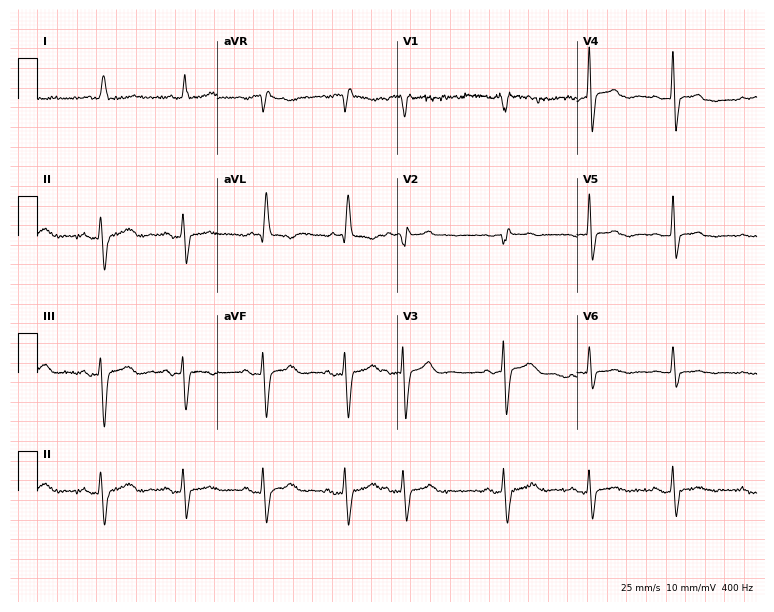
Standard 12-lead ECG recorded from an 85-year-old female (7.3-second recording at 400 Hz). None of these six findings is recorded: first-degree AV block, right bundle branch block (RBBB), left bundle branch block (LBBB), sinus bradycardia, atrial fibrillation (AF), sinus tachycardia.